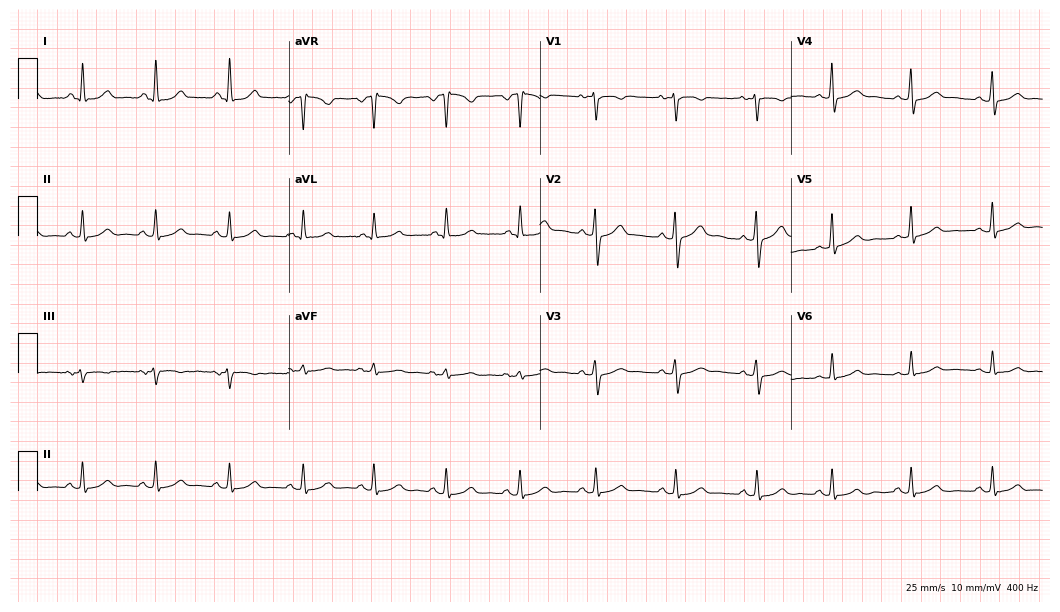
ECG (10.2-second recording at 400 Hz) — a female, 31 years old. Screened for six findings — first-degree AV block, right bundle branch block (RBBB), left bundle branch block (LBBB), sinus bradycardia, atrial fibrillation (AF), sinus tachycardia — none is recorded. Only these six findings were labelled.